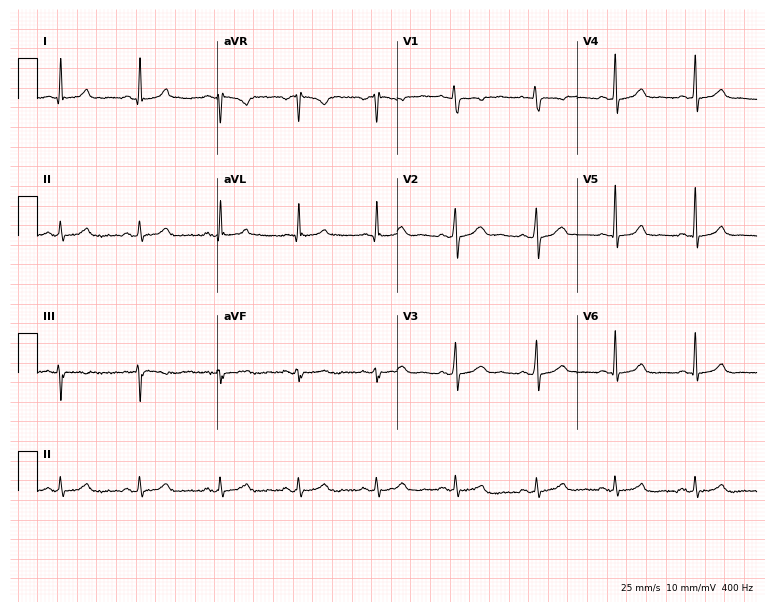
12-lead ECG from a woman, 38 years old. Labelled as a normal ECG.